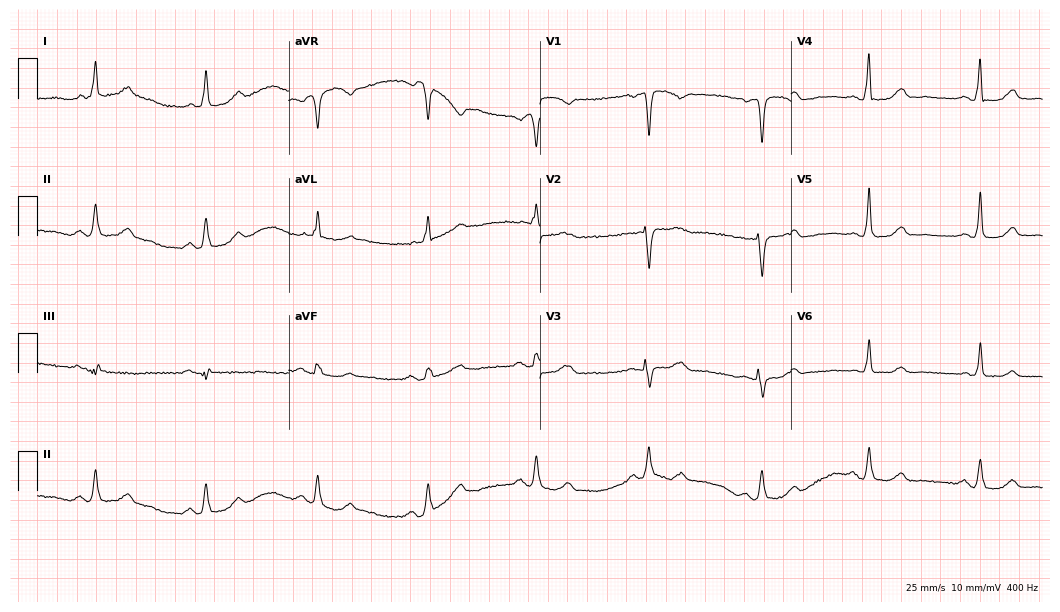
Electrocardiogram (10.2-second recording at 400 Hz), an 83-year-old woman. Of the six screened findings (first-degree AV block, right bundle branch block, left bundle branch block, sinus bradycardia, atrial fibrillation, sinus tachycardia), none is recorded.